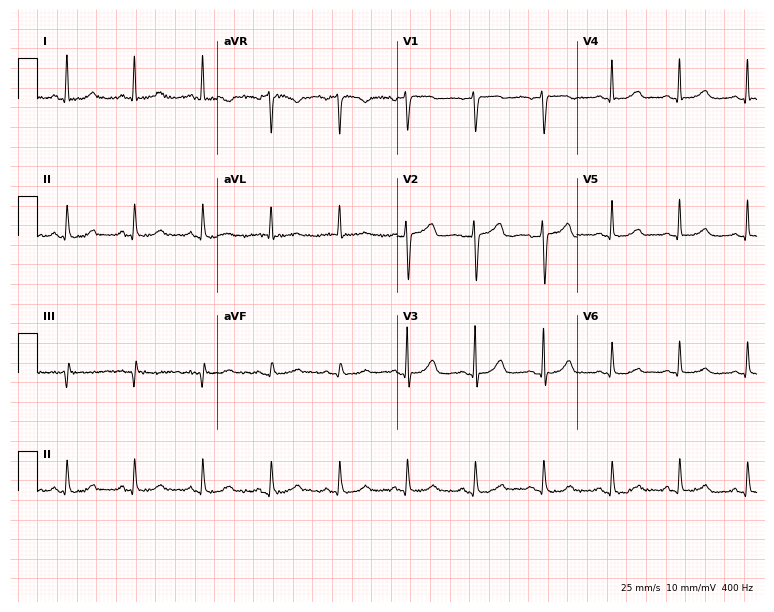
12-lead ECG (7.3-second recording at 400 Hz) from a female, 51 years old. Screened for six findings — first-degree AV block, right bundle branch block (RBBB), left bundle branch block (LBBB), sinus bradycardia, atrial fibrillation (AF), sinus tachycardia — none is recorded.